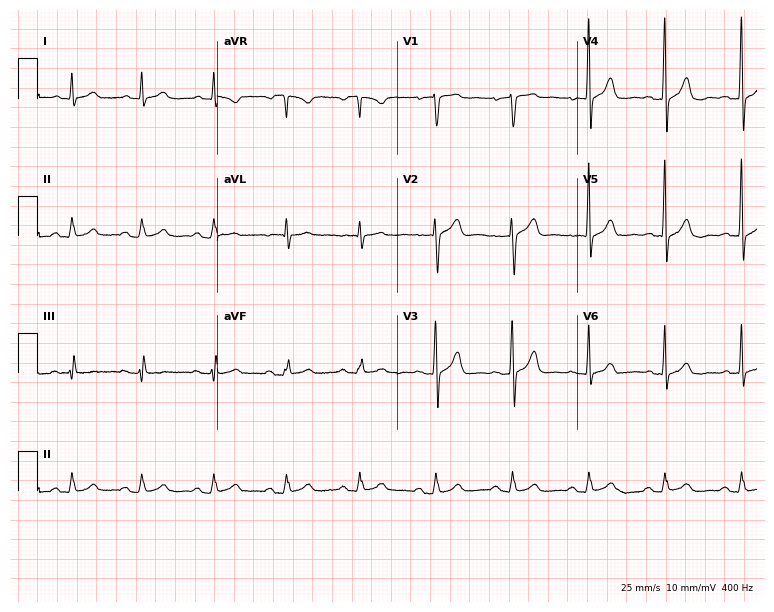
Resting 12-lead electrocardiogram. Patient: a male, 53 years old. None of these six findings is recorded: first-degree AV block, right bundle branch block, left bundle branch block, sinus bradycardia, atrial fibrillation, sinus tachycardia. Findings outside these six are not listed.